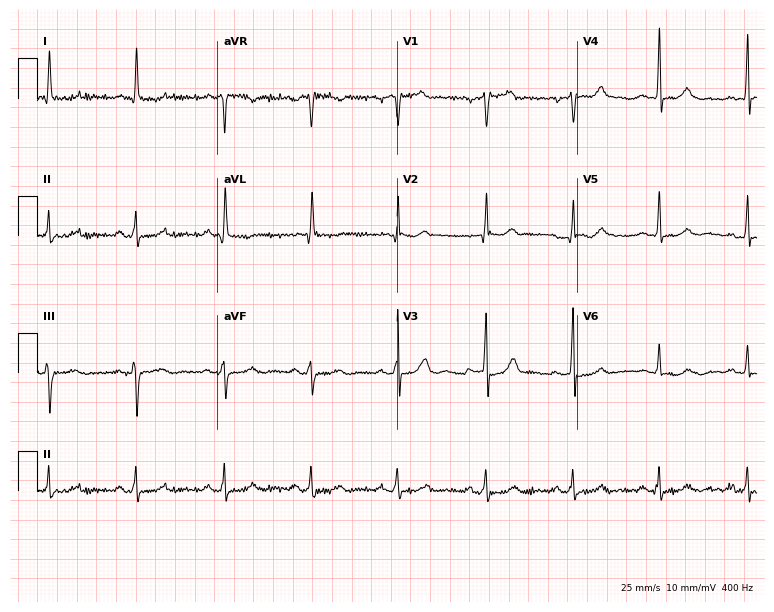
Standard 12-lead ECG recorded from a 62-year-old female (7.3-second recording at 400 Hz). None of these six findings is recorded: first-degree AV block, right bundle branch block (RBBB), left bundle branch block (LBBB), sinus bradycardia, atrial fibrillation (AF), sinus tachycardia. Other findings, if any, are not listed.